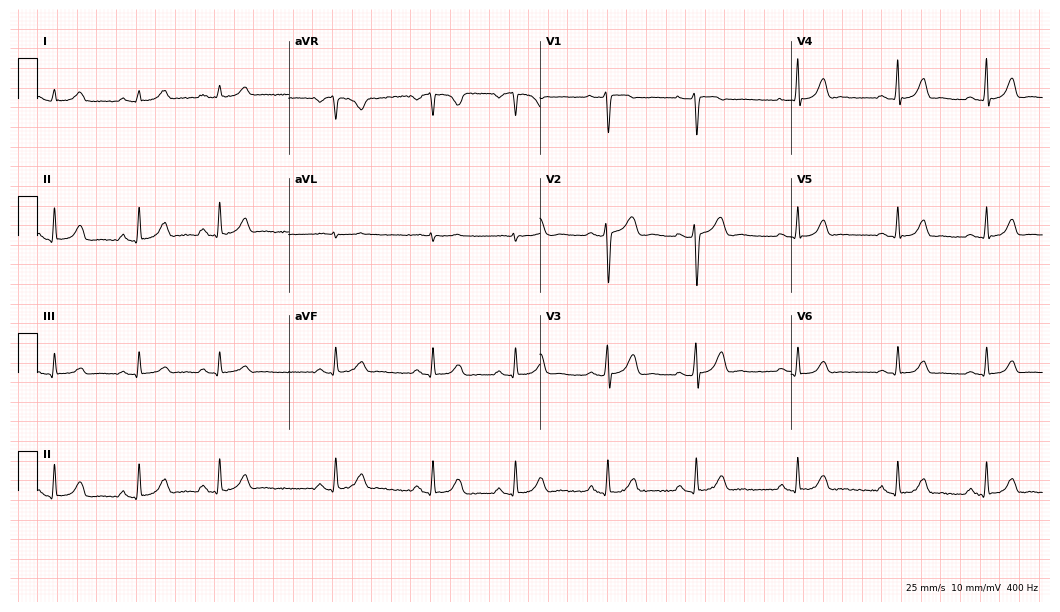
12-lead ECG from a woman, 20 years old (10.2-second recording at 400 Hz). Recorded interpretation: within normal limits.